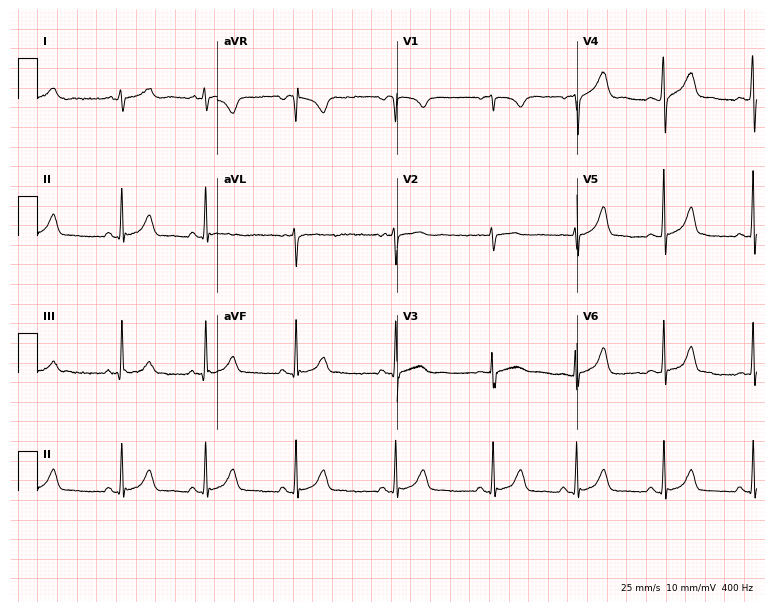
Resting 12-lead electrocardiogram. Patient: a female, 18 years old. Read as a normal ECG.